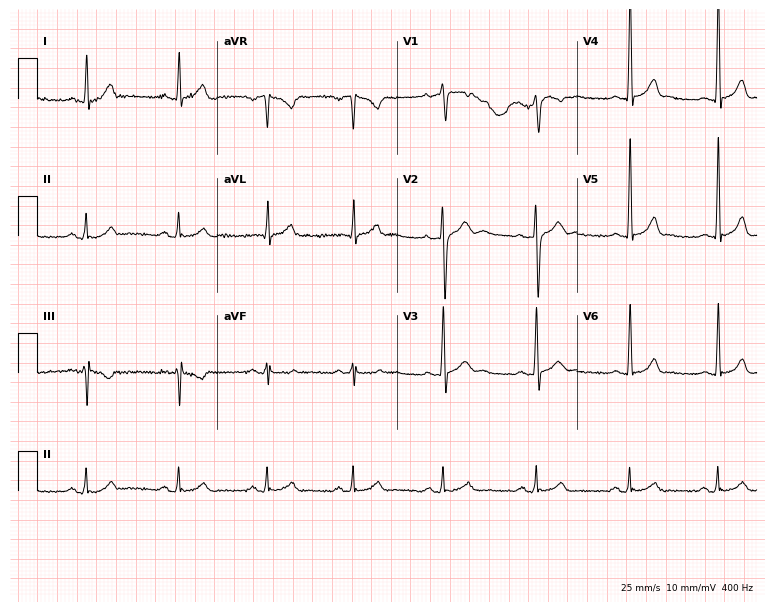
12-lead ECG from a man, 32 years old. Labelled as a normal ECG.